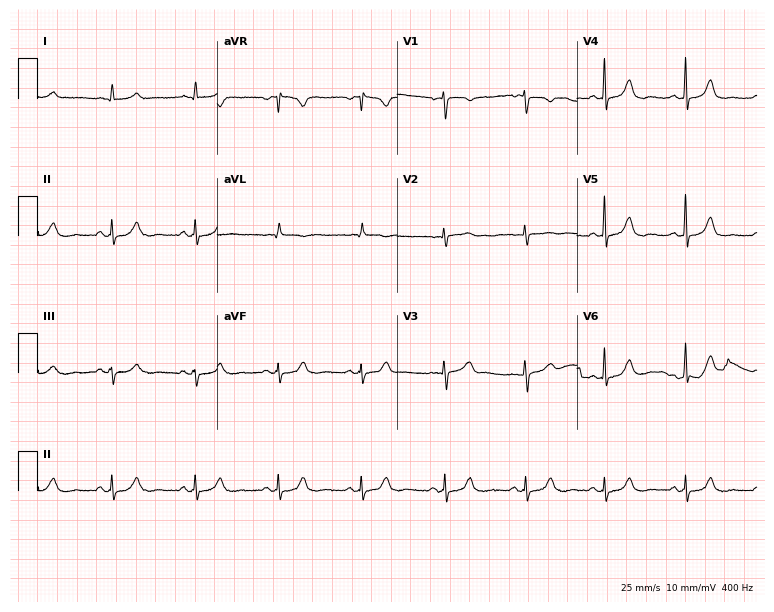
Standard 12-lead ECG recorded from a female, 43 years old (7.3-second recording at 400 Hz). None of these six findings is recorded: first-degree AV block, right bundle branch block, left bundle branch block, sinus bradycardia, atrial fibrillation, sinus tachycardia.